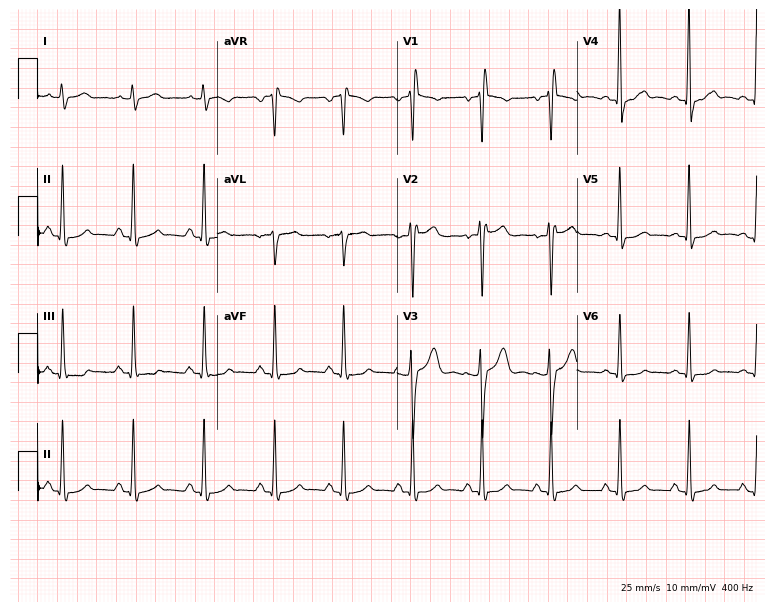
12-lead ECG from a 50-year-old man. No first-degree AV block, right bundle branch block, left bundle branch block, sinus bradycardia, atrial fibrillation or sinus tachycardia recorded for this tracing.